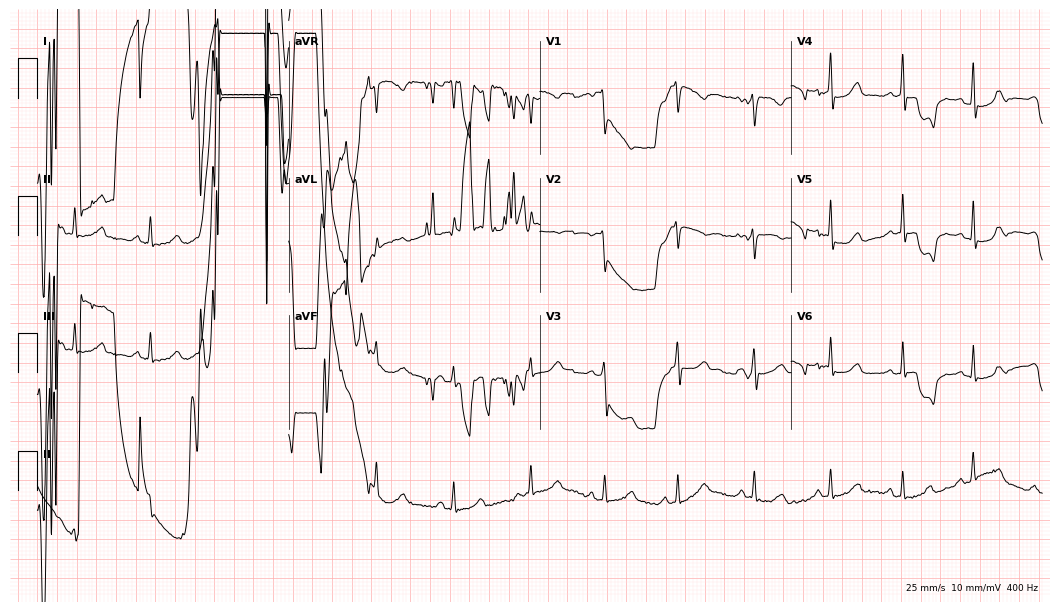
Electrocardiogram (10.2-second recording at 400 Hz), a 22-year-old female. Of the six screened findings (first-degree AV block, right bundle branch block, left bundle branch block, sinus bradycardia, atrial fibrillation, sinus tachycardia), none is recorded.